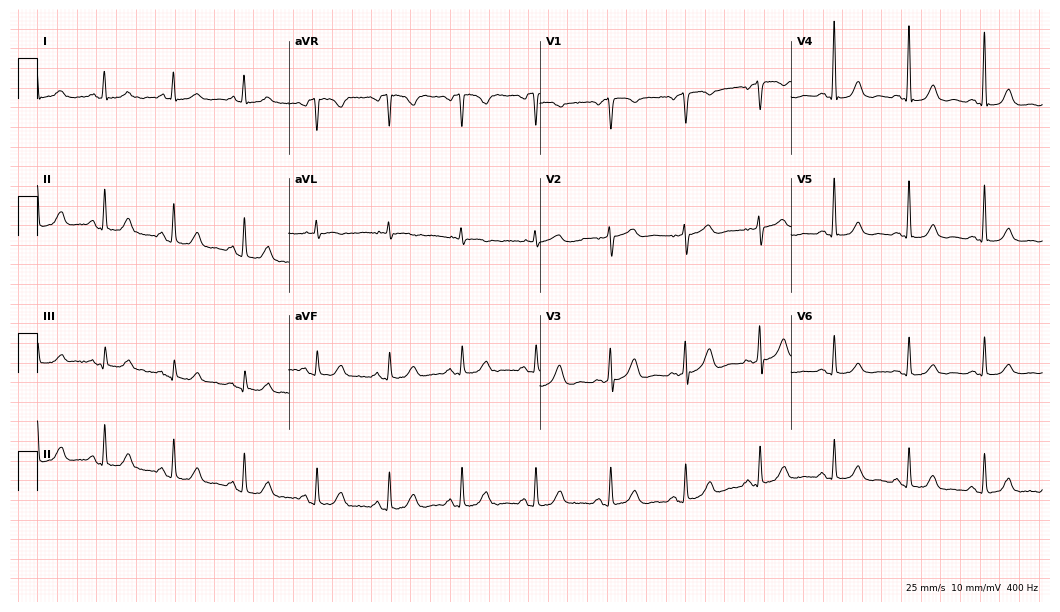
Electrocardiogram, a 75-year-old female. Overall reading on record: normal ECG.